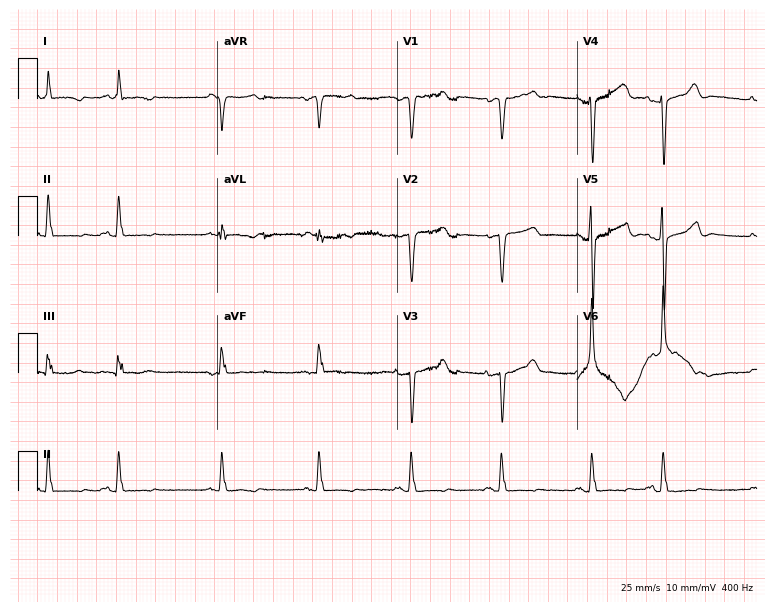
Electrocardiogram, a woman, 78 years old. Of the six screened findings (first-degree AV block, right bundle branch block, left bundle branch block, sinus bradycardia, atrial fibrillation, sinus tachycardia), none is recorded. Other findings, if any, are not listed.